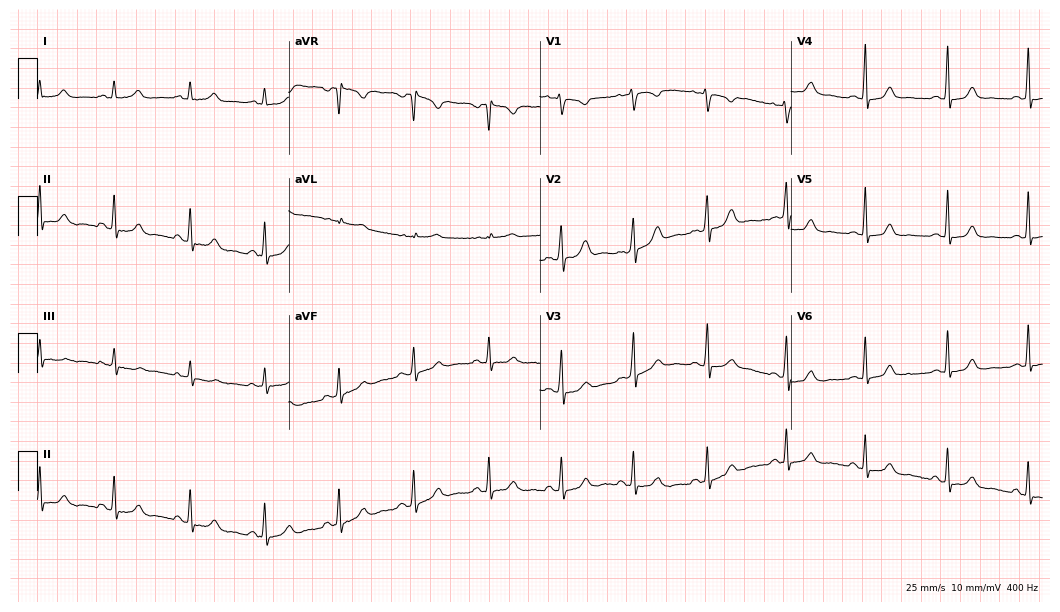
12-lead ECG (10.2-second recording at 400 Hz) from a woman, 25 years old. Labelled as a normal ECG.